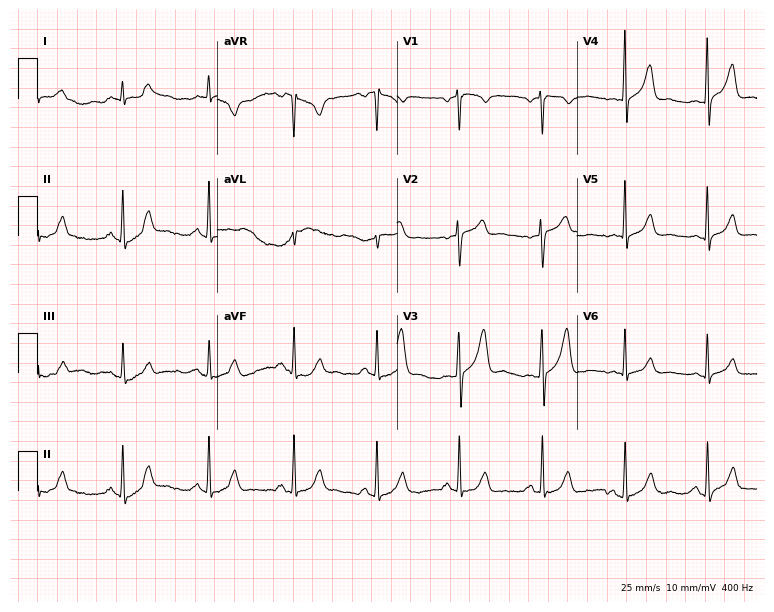
Standard 12-lead ECG recorded from a 49-year-old man (7.3-second recording at 400 Hz). Read as a normal ECG.